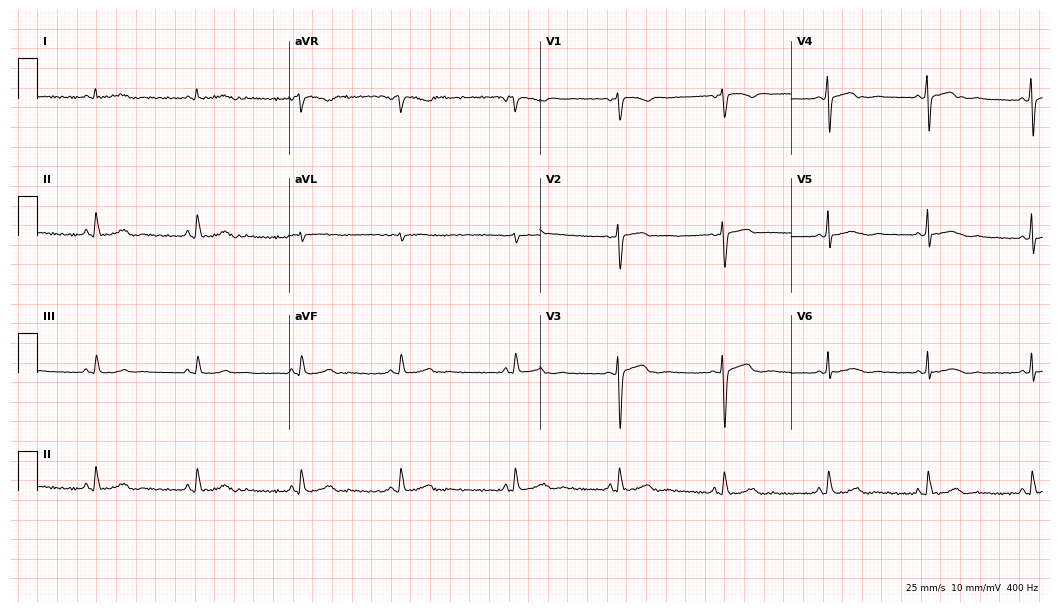
Resting 12-lead electrocardiogram (10.2-second recording at 400 Hz). Patient: a female, 55 years old. Read as a normal ECG.